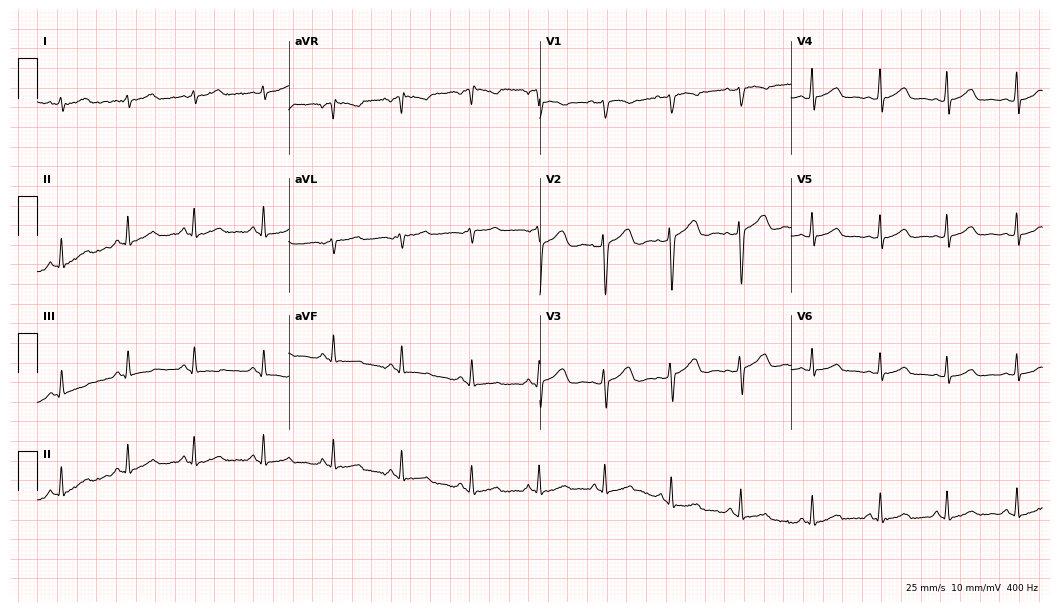
Standard 12-lead ECG recorded from a 29-year-old woman (10.2-second recording at 400 Hz). Read as a normal ECG.